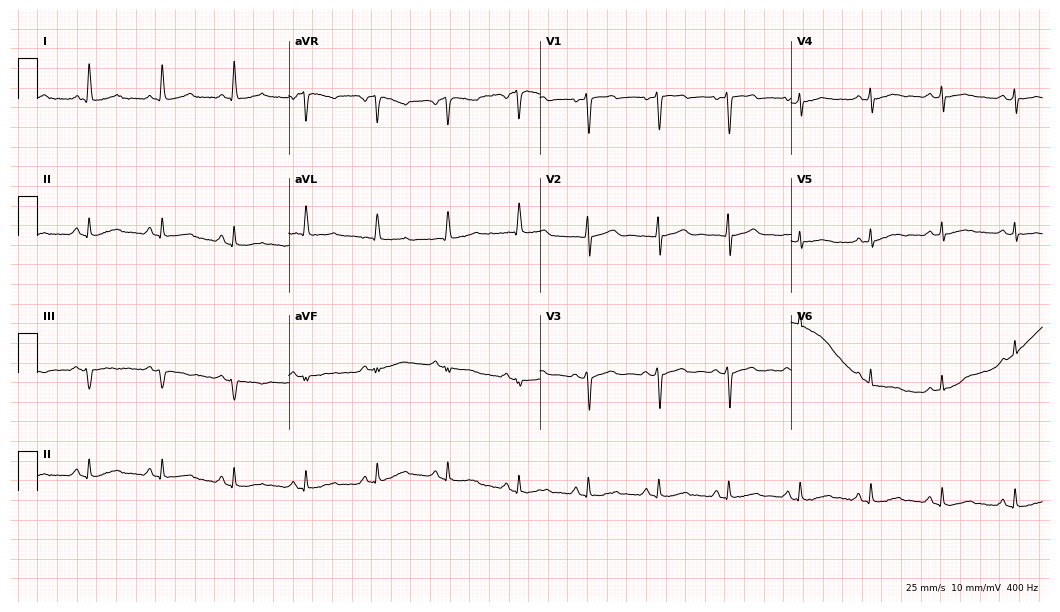
ECG (10.2-second recording at 400 Hz) — a 58-year-old female patient. Labelled as a normal ECG.